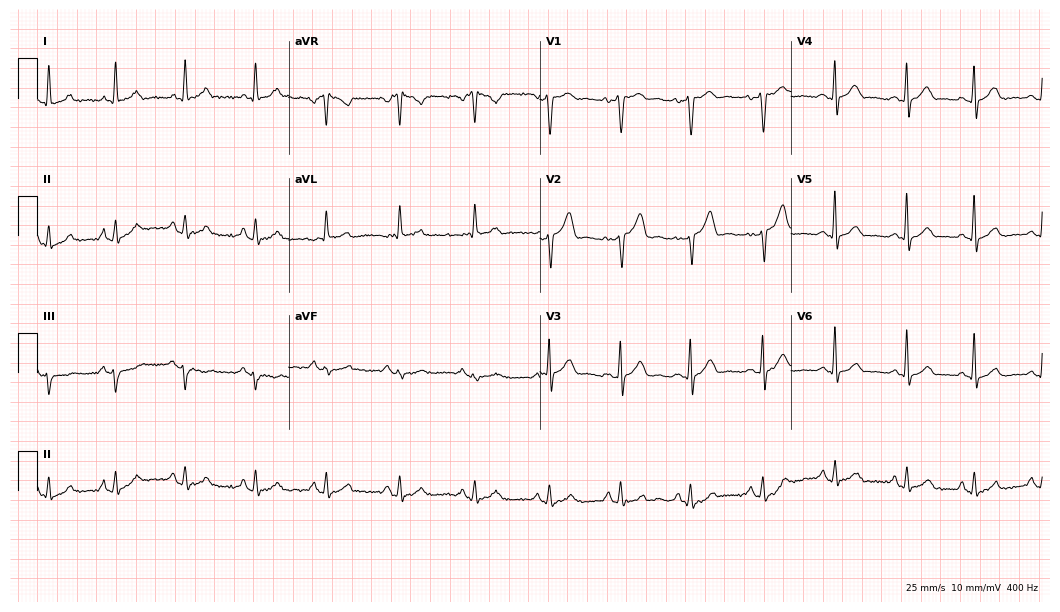
12-lead ECG from a man, 49 years old (10.2-second recording at 400 Hz). No first-degree AV block, right bundle branch block, left bundle branch block, sinus bradycardia, atrial fibrillation or sinus tachycardia recorded for this tracing.